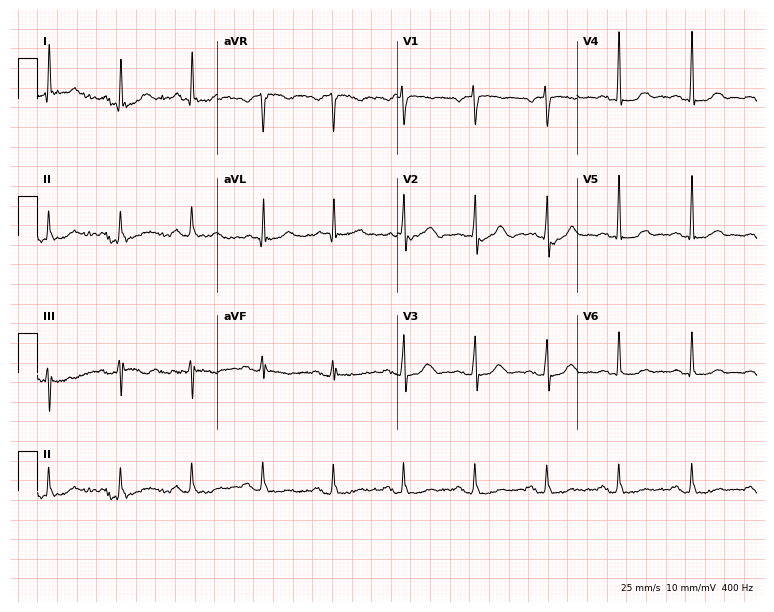
Standard 12-lead ECG recorded from a woman, 75 years old. None of these six findings is recorded: first-degree AV block, right bundle branch block (RBBB), left bundle branch block (LBBB), sinus bradycardia, atrial fibrillation (AF), sinus tachycardia. Findings outside these six are not listed.